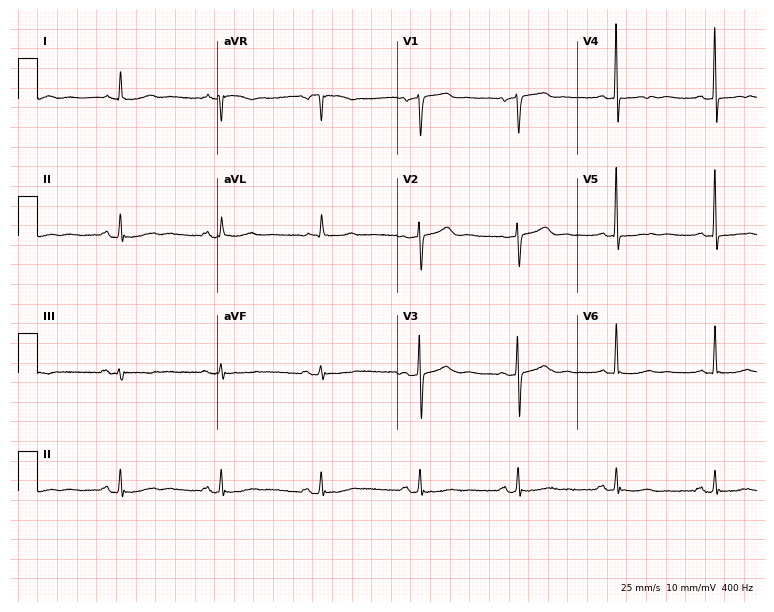
Electrocardiogram (7.3-second recording at 400 Hz), a 72-year-old female. Overall reading on record: normal ECG.